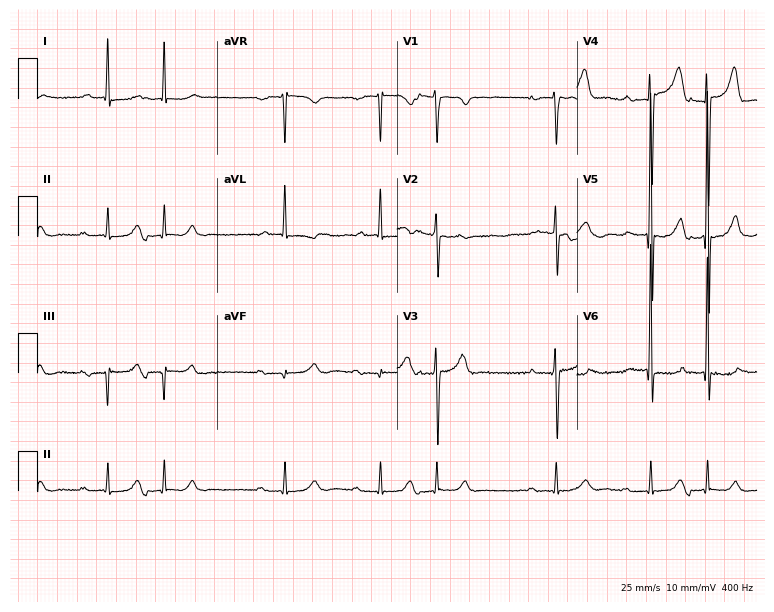
Standard 12-lead ECG recorded from a 71-year-old male patient (7.3-second recording at 400 Hz). The tracing shows first-degree AV block.